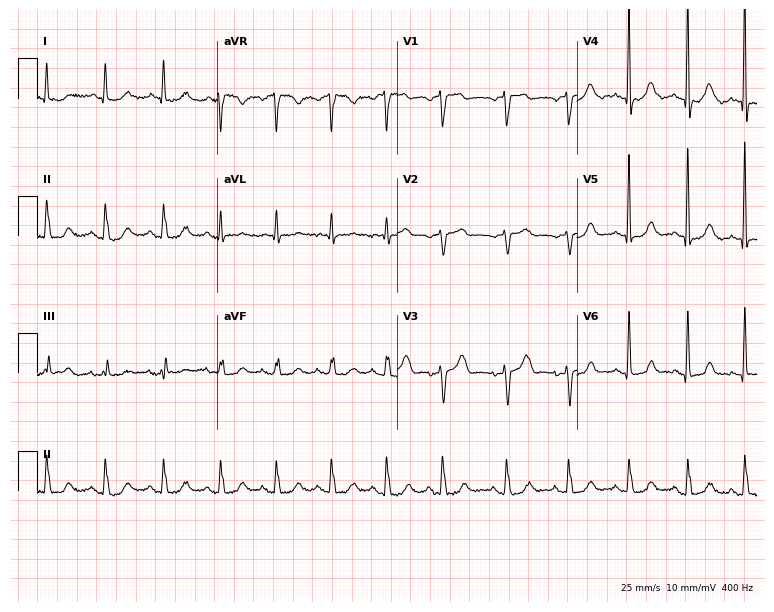
12-lead ECG from a female, 83 years old (7.3-second recording at 400 Hz). Recorded interpretation: within normal limits.